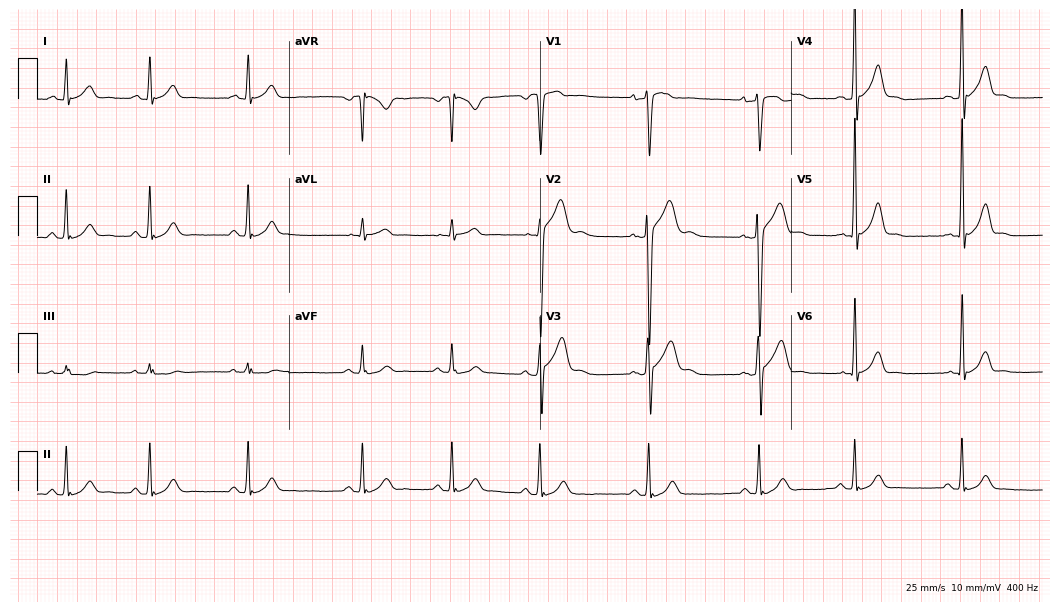
ECG — a male, 18 years old. Labelled as a normal ECG.